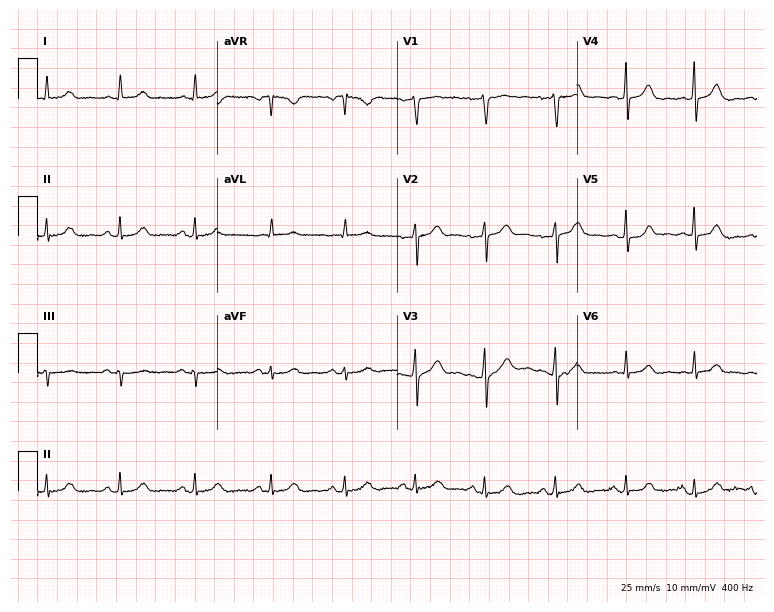
12-lead ECG from a 41-year-old female. Screened for six findings — first-degree AV block, right bundle branch block (RBBB), left bundle branch block (LBBB), sinus bradycardia, atrial fibrillation (AF), sinus tachycardia — none is recorded. Other findings, if any, are not listed.